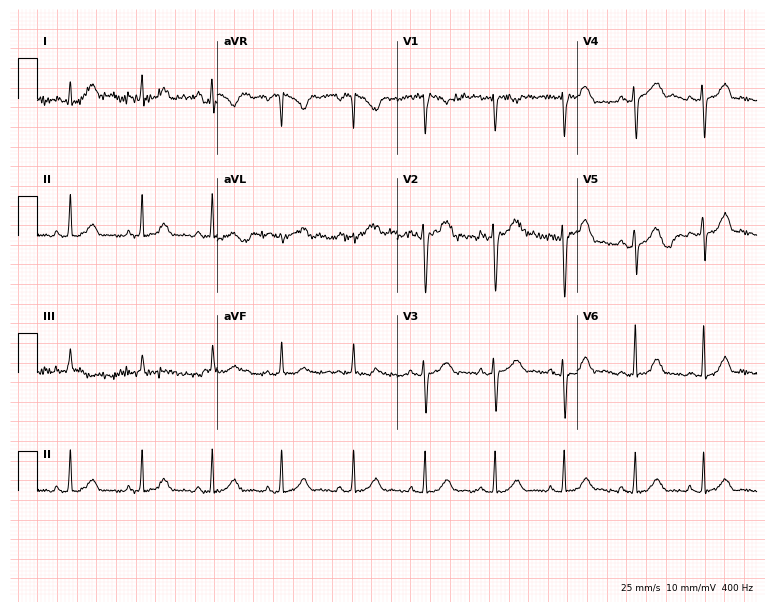
Standard 12-lead ECG recorded from a female, 18 years old (7.3-second recording at 400 Hz). Read as a normal ECG.